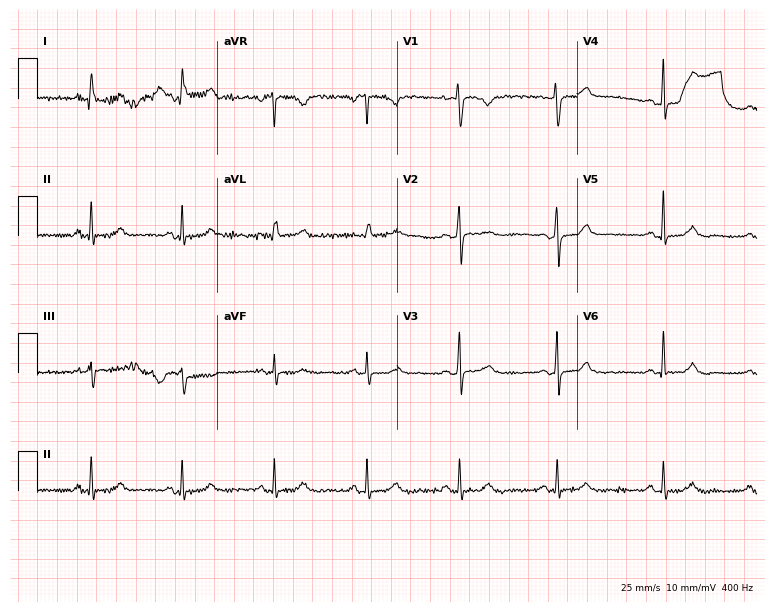
ECG (7.3-second recording at 400 Hz) — a woman, 34 years old. Labelled as a normal ECG.